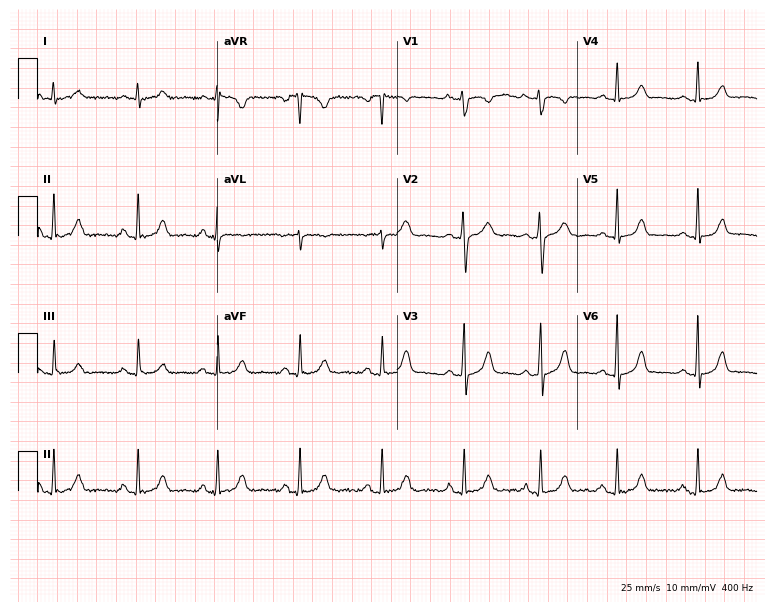
Electrocardiogram (7.3-second recording at 400 Hz), a female, 20 years old. Overall reading on record: normal ECG.